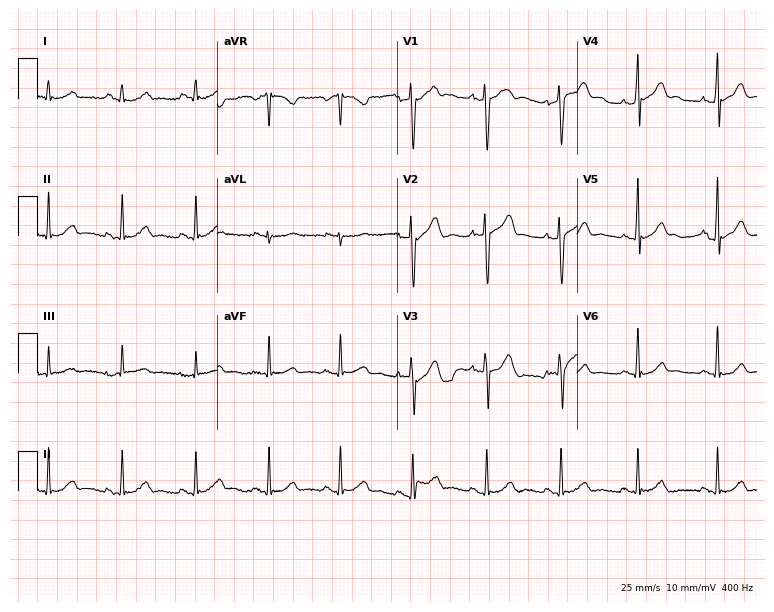
ECG (7.3-second recording at 400 Hz) — a man, 48 years old. Screened for six findings — first-degree AV block, right bundle branch block, left bundle branch block, sinus bradycardia, atrial fibrillation, sinus tachycardia — none is recorded. Only these six findings were labelled.